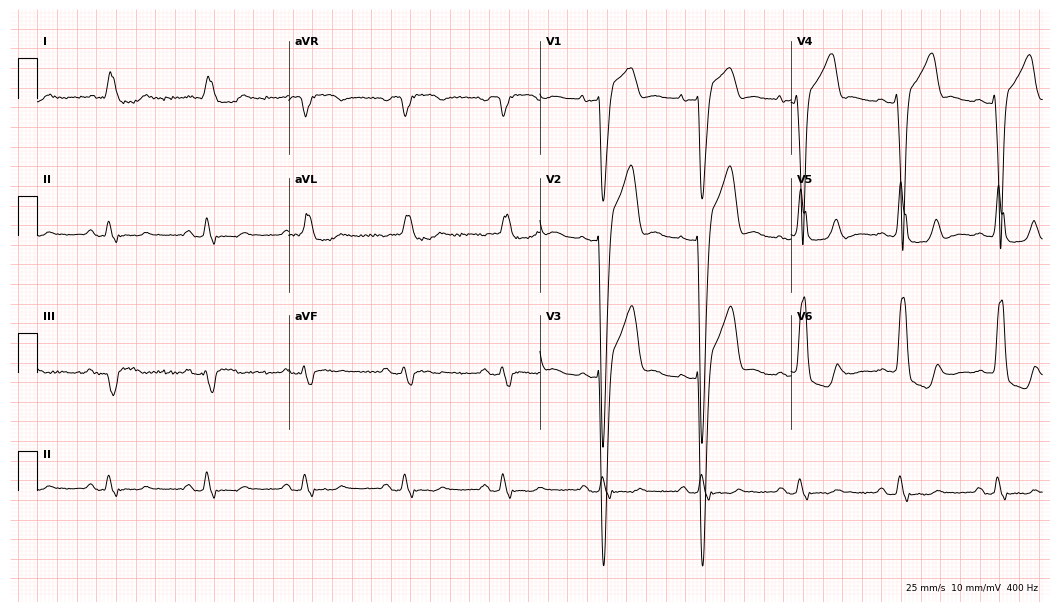
Resting 12-lead electrocardiogram (10.2-second recording at 400 Hz). Patient: a male, 79 years old. None of these six findings is recorded: first-degree AV block, right bundle branch block (RBBB), left bundle branch block (LBBB), sinus bradycardia, atrial fibrillation (AF), sinus tachycardia.